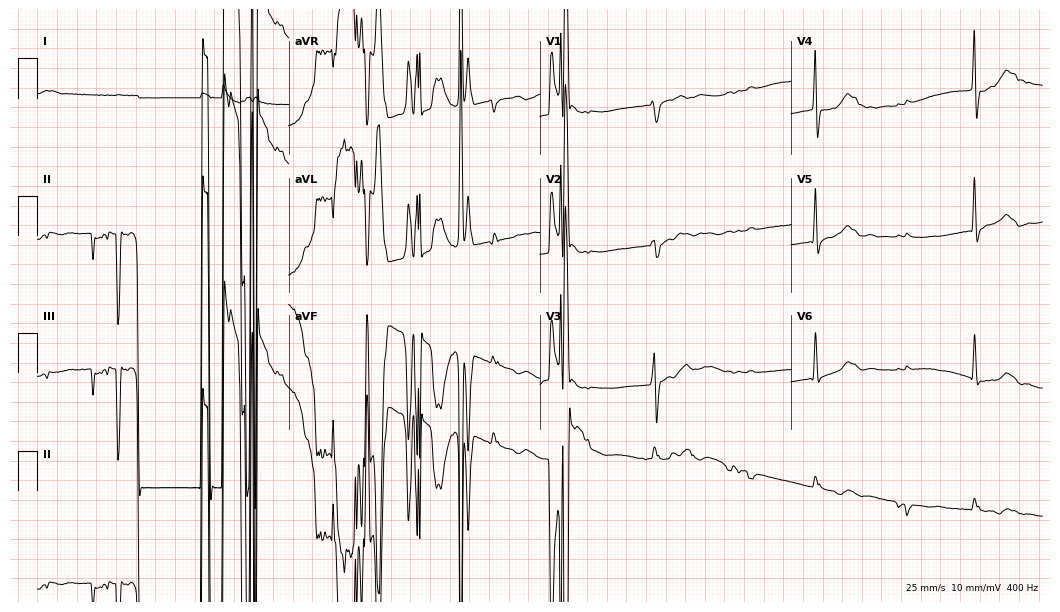
12-lead ECG (10.2-second recording at 400 Hz) from a female patient, 76 years old. Screened for six findings — first-degree AV block, right bundle branch block, left bundle branch block, sinus bradycardia, atrial fibrillation, sinus tachycardia — none is recorded. Only these six findings were labelled.